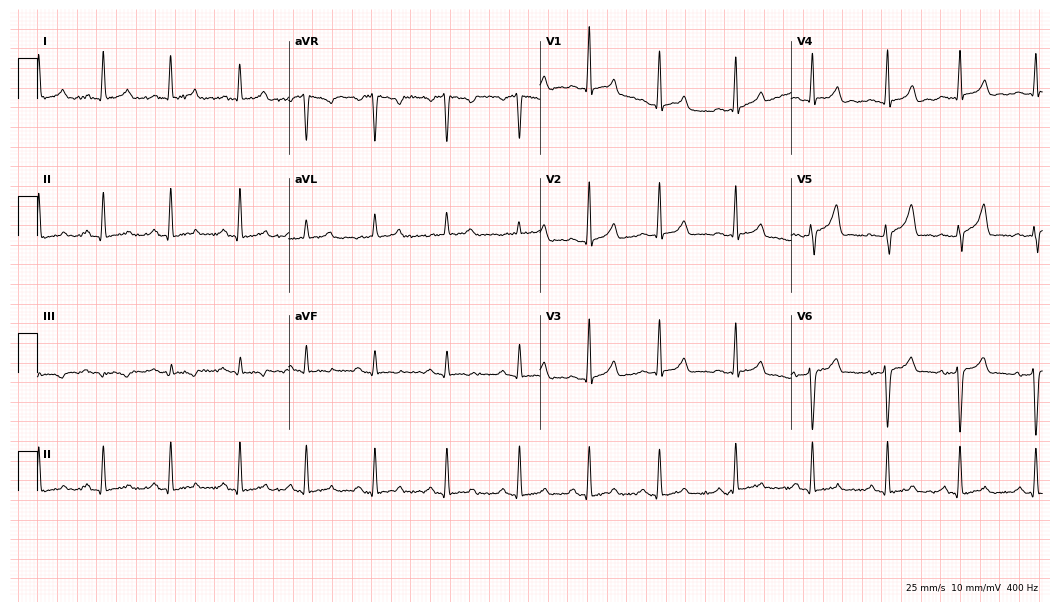
ECG (10.2-second recording at 400 Hz) — a 42-year-old man. Screened for six findings — first-degree AV block, right bundle branch block, left bundle branch block, sinus bradycardia, atrial fibrillation, sinus tachycardia — none is recorded. Only these six findings were labelled.